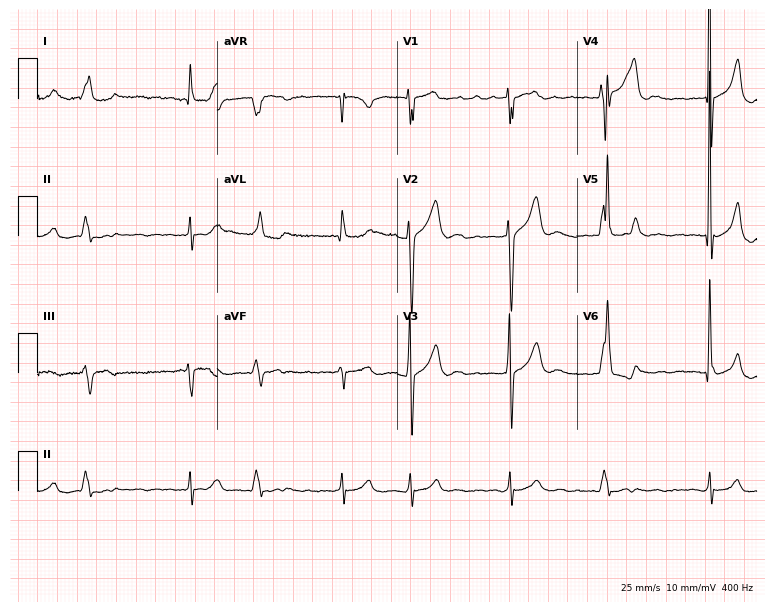
12-lead ECG (7.3-second recording at 400 Hz) from a male patient, 80 years old. Findings include atrial fibrillation.